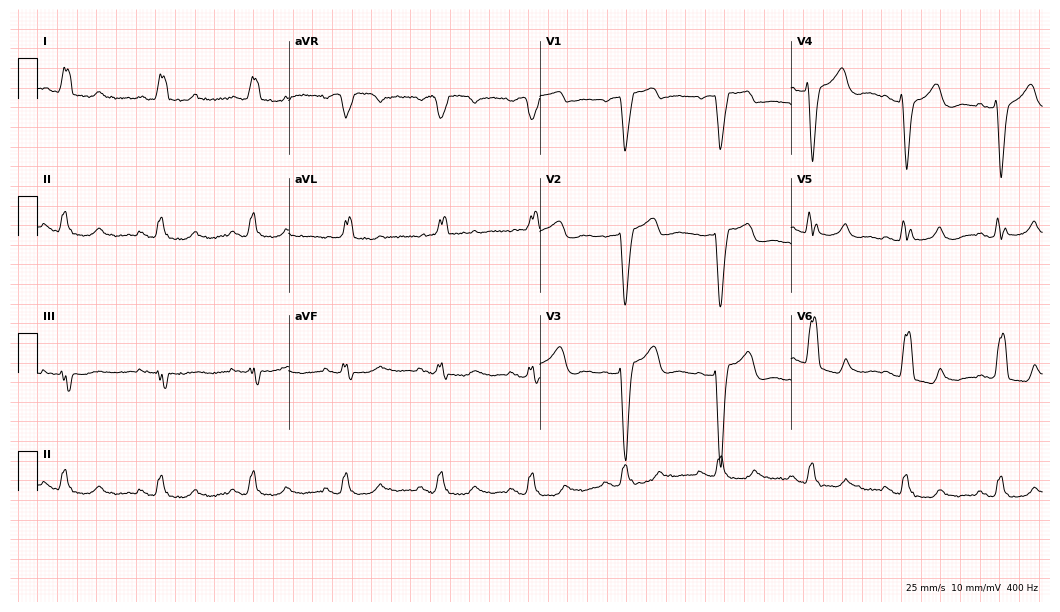
Standard 12-lead ECG recorded from a female patient, 85 years old (10.2-second recording at 400 Hz). None of these six findings is recorded: first-degree AV block, right bundle branch block (RBBB), left bundle branch block (LBBB), sinus bradycardia, atrial fibrillation (AF), sinus tachycardia.